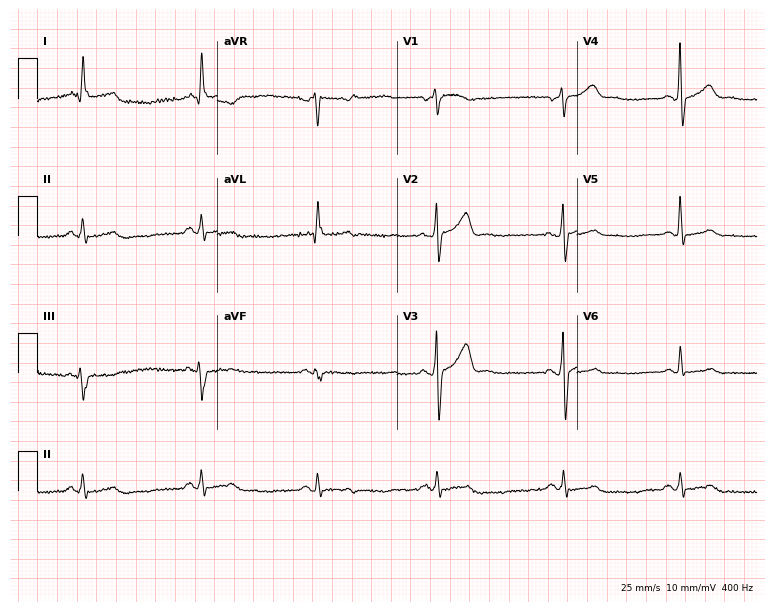
Standard 12-lead ECG recorded from a man, 42 years old. None of these six findings is recorded: first-degree AV block, right bundle branch block, left bundle branch block, sinus bradycardia, atrial fibrillation, sinus tachycardia.